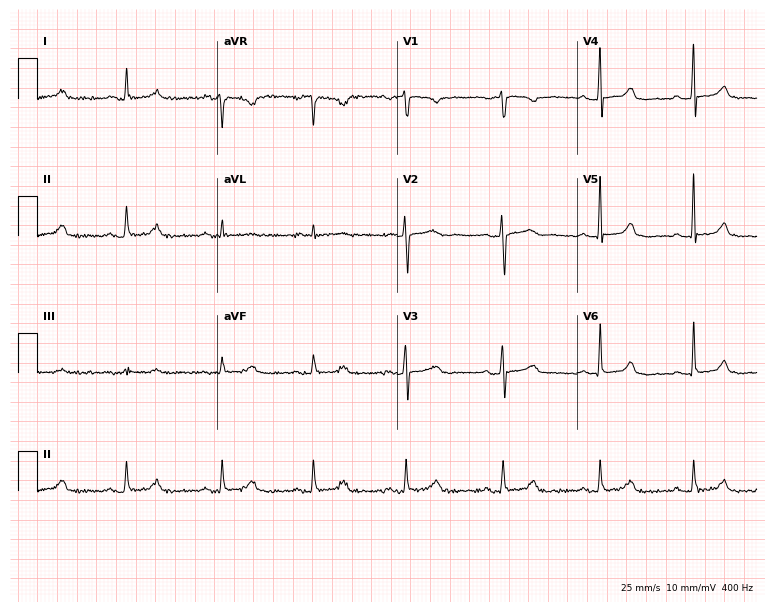
Standard 12-lead ECG recorded from a 49-year-old woman. None of these six findings is recorded: first-degree AV block, right bundle branch block (RBBB), left bundle branch block (LBBB), sinus bradycardia, atrial fibrillation (AF), sinus tachycardia. Only these six findings were labelled.